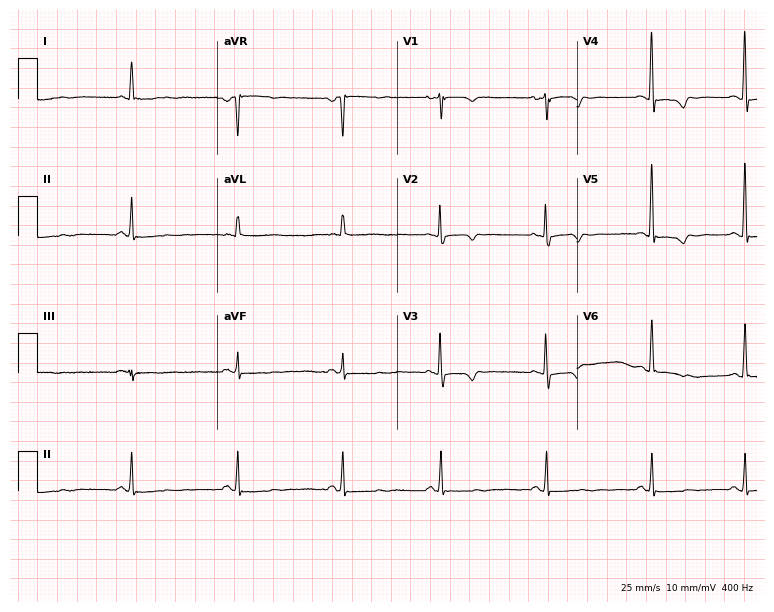
12-lead ECG from a 66-year-old woman (7.3-second recording at 400 Hz). No first-degree AV block, right bundle branch block, left bundle branch block, sinus bradycardia, atrial fibrillation or sinus tachycardia recorded for this tracing. Other findings, if any, are not listed.